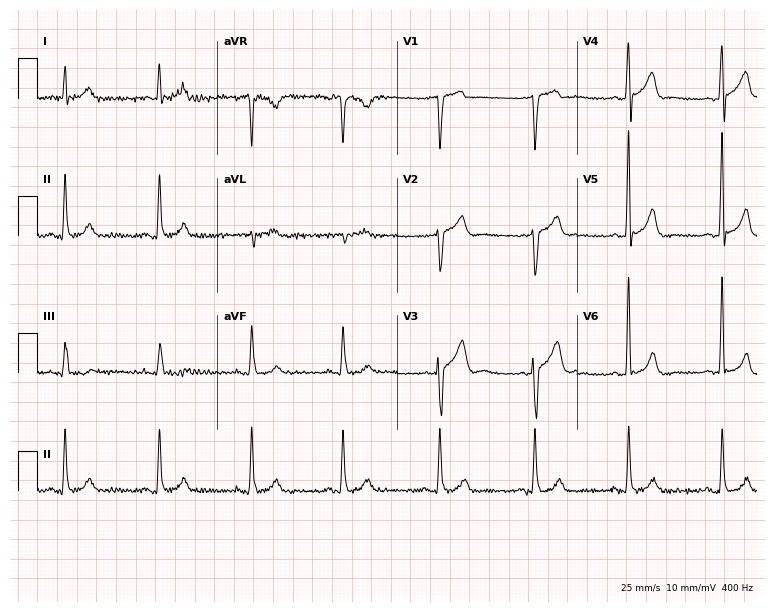
Standard 12-lead ECG recorded from an 80-year-old man (7.3-second recording at 400 Hz). None of these six findings is recorded: first-degree AV block, right bundle branch block, left bundle branch block, sinus bradycardia, atrial fibrillation, sinus tachycardia. Only these six findings were labelled.